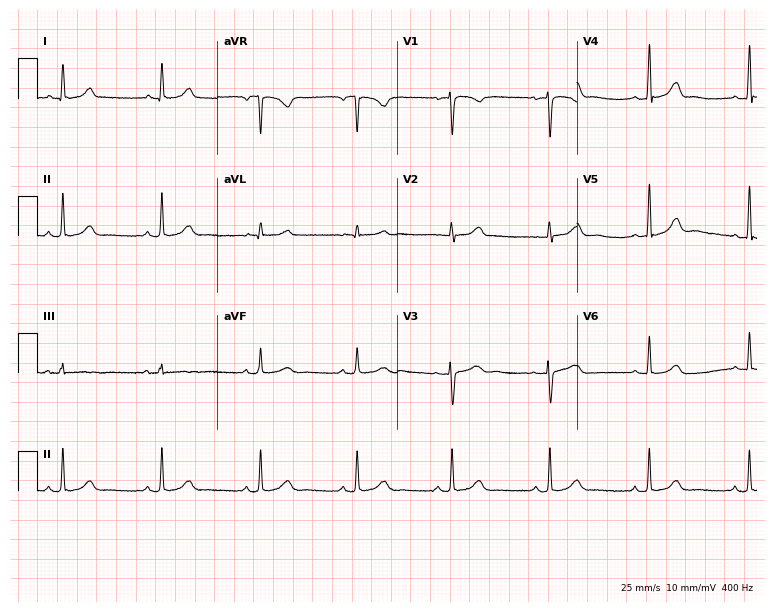
12-lead ECG from a woman, 37 years old (7.3-second recording at 400 Hz). Recorded interpretation: within normal limits.